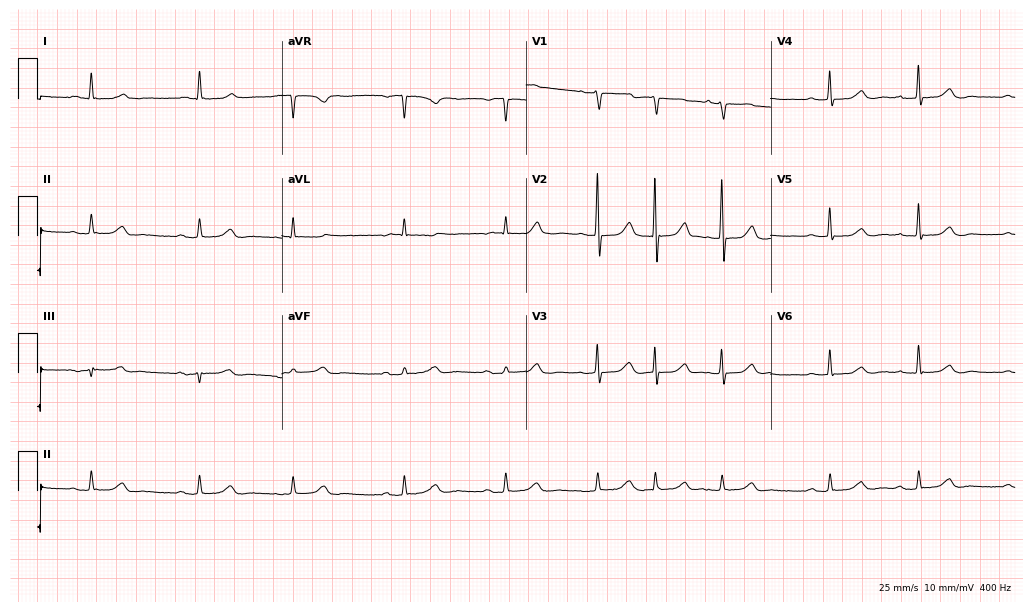
Standard 12-lead ECG recorded from a female, 82 years old (10-second recording at 400 Hz). Read as a normal ECG.